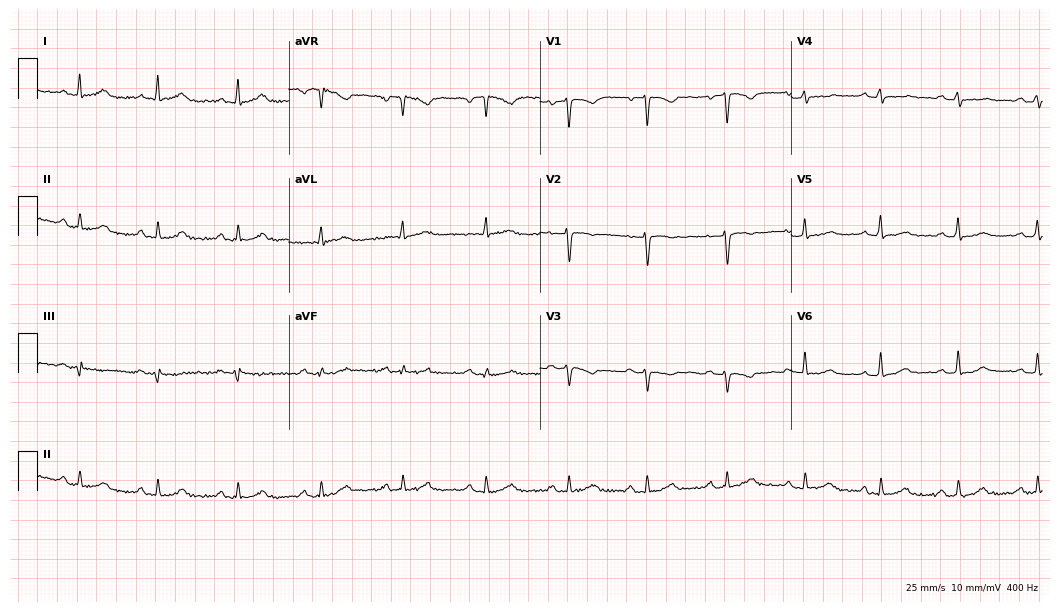
Standard 12-lead ECG recorded from a 46-year-old woman (10.2-second recording at 400 Hz). None of these six findings is recorded: first-degree AV block, right bundle branch block (RBBB), left bundle branch block (LBBB), sinus bradycardia, atrial fibrillation (AF), sinus tachycardia. Other findings, if any, are not listed.